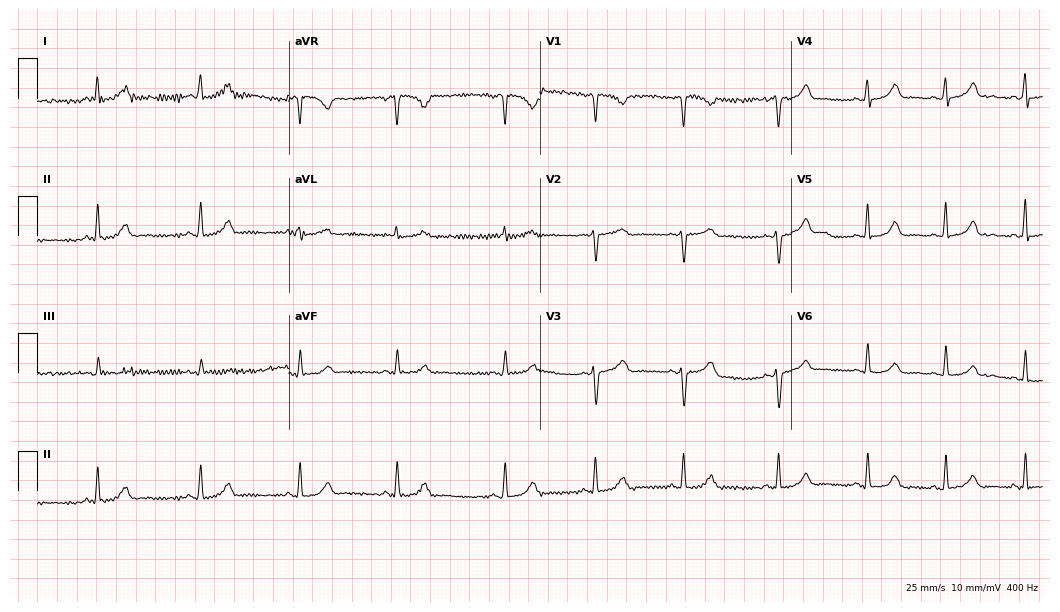
12-lead ECG from a 29-year-old woman (10.2-second recording at 400 Hz). No first-degree AV block, right bundle branch block, left bundle branch block, sinus bradycardia, atrial fibrillation or sinus tachycardia recorded for this tracing. Other findings, if any, are not listed.